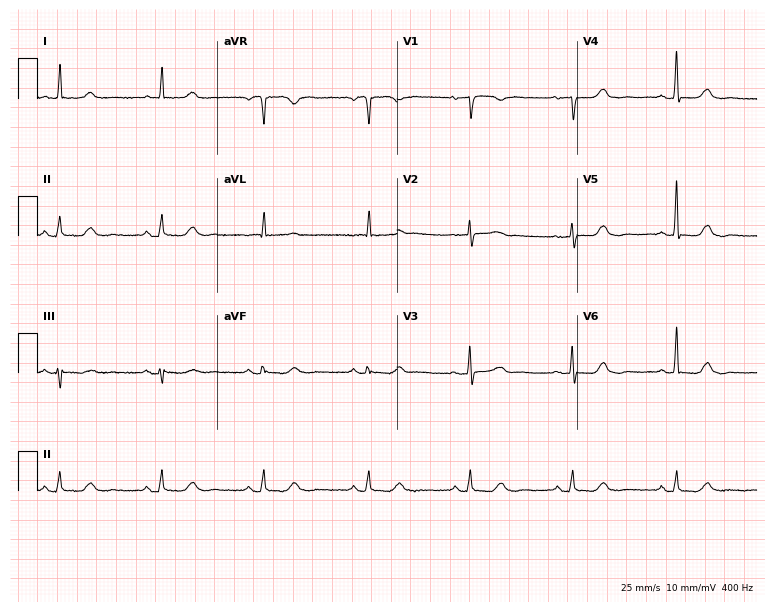
12-lead ECG from a woman, 75 years old. Labelled as a normal ECG.